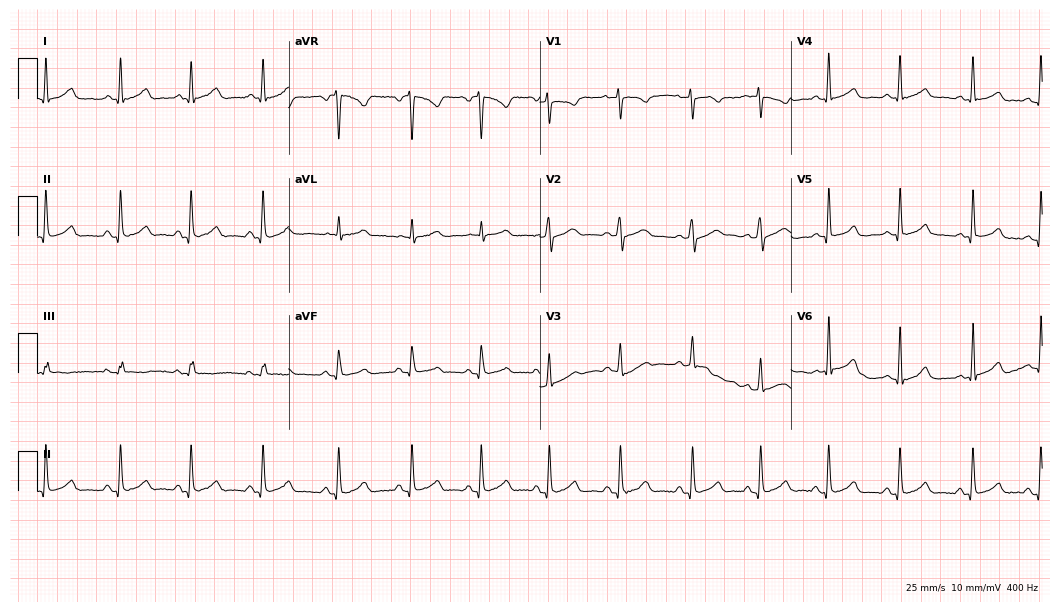
Standard 12-lead ECG recorded from a female, 31 years old. Read as a normal ECG.